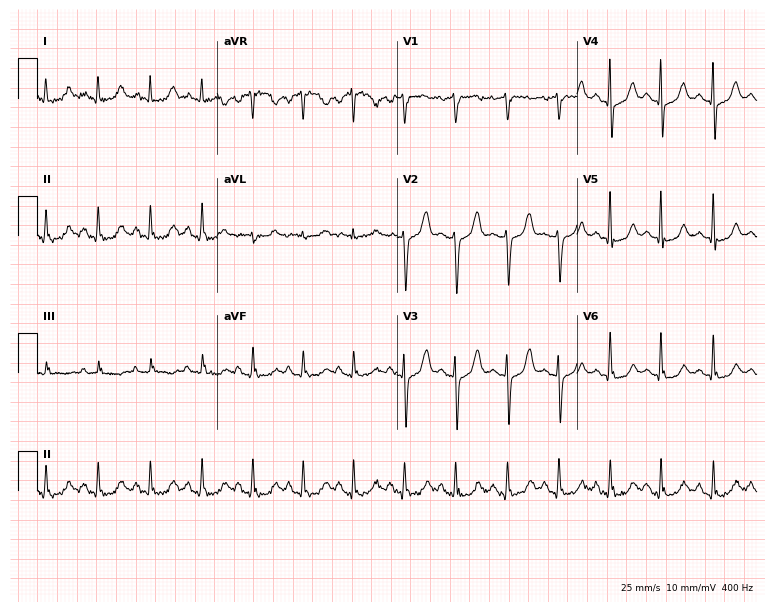
ECG — a woman, 57 years old. Findings include sinus tachycardia (a sinus rate of 100 beats per minute or more).